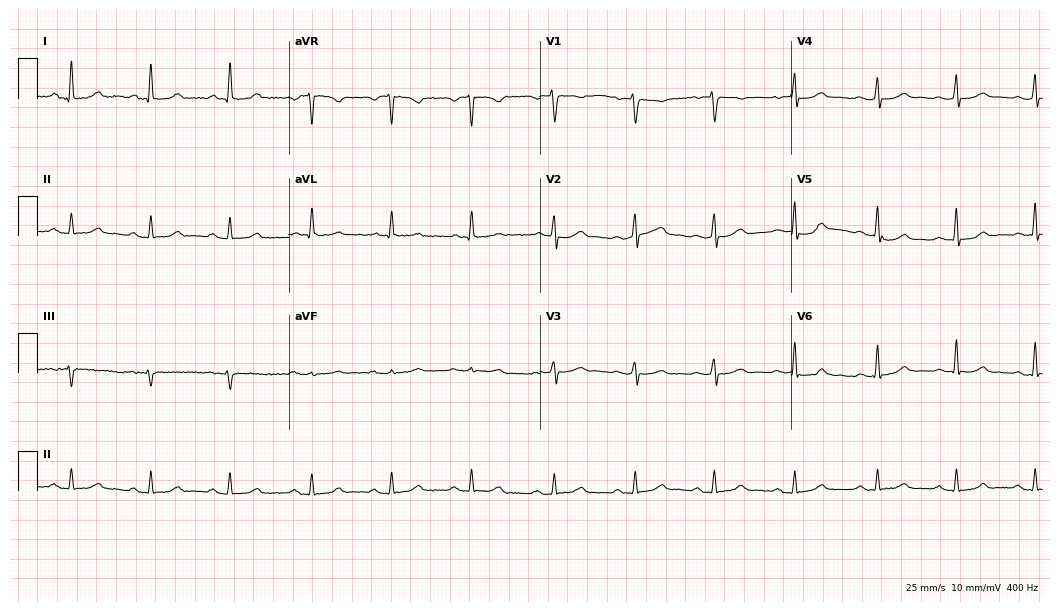
12-lead ECG from a 40-year-old woman. Labelled as a normal ECG.